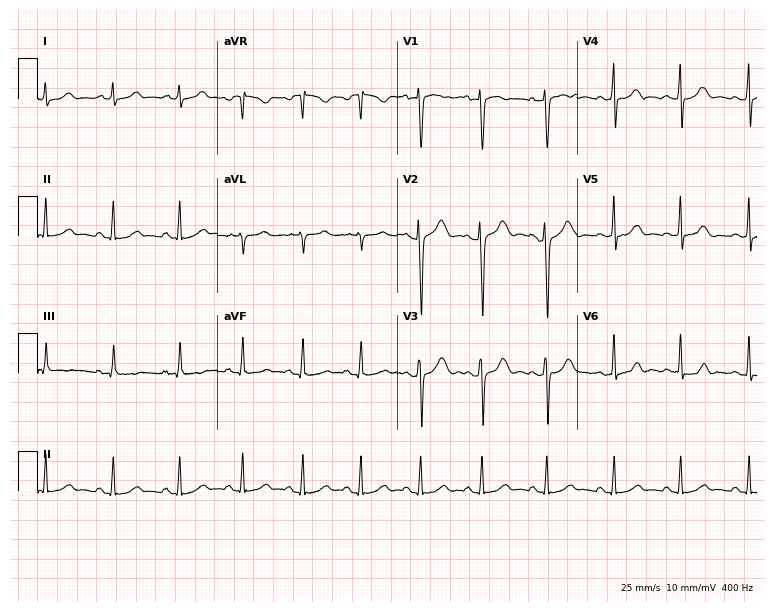
ECG (7.3-second recording at 400 Hz) — a woman, 20 years old. Labelled as a normal ECG.